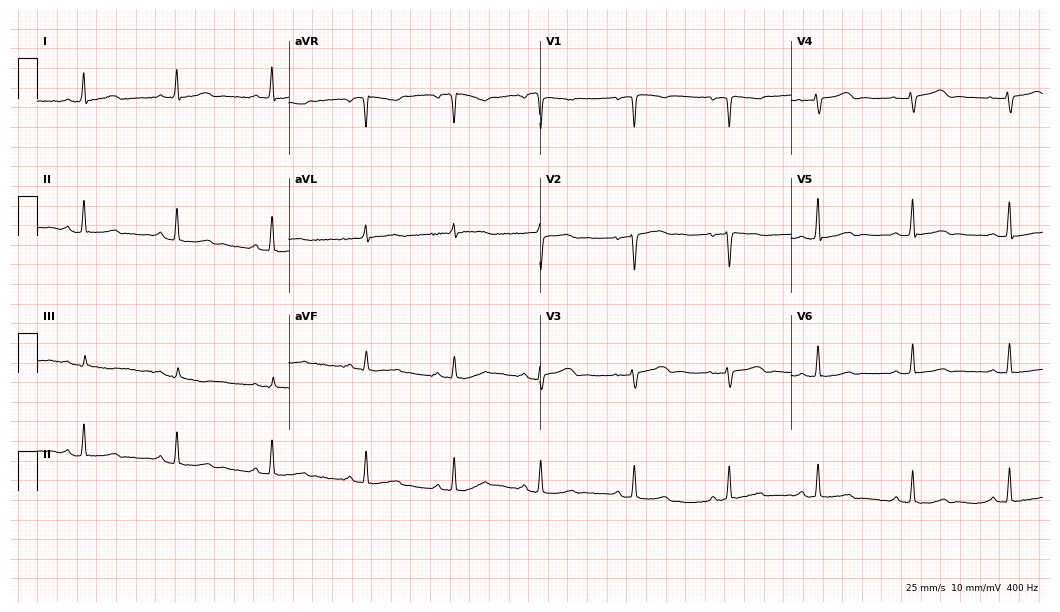
12-lead ECG from a 41-year-old female patient (10.2-second recording at 400 Hz). No first-degree AV block, right bundle branch block, left bundle branch block, sinus bradycardia, atrial fibrillation or sinus tachycardia recorded for this tracing. Findings outside these six are not listed.